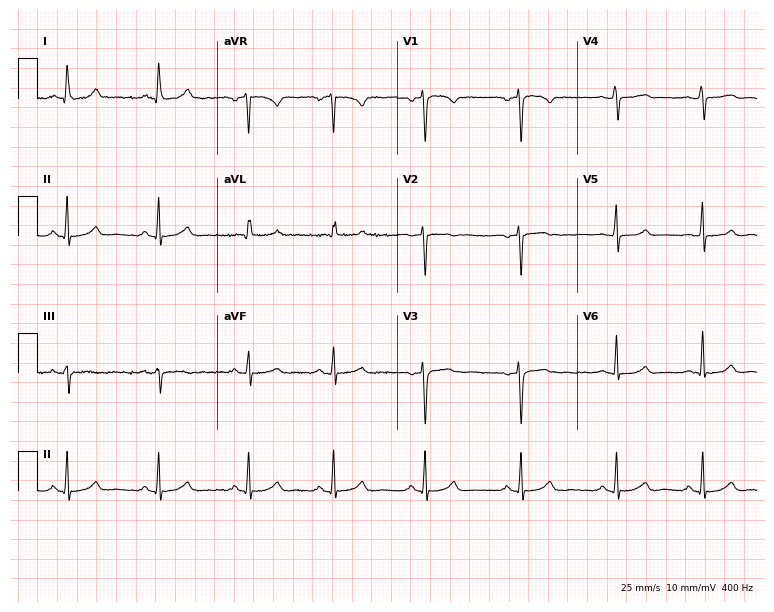
12-lead ECG from a woman, 43 years old (7.3-second recording at 400 Hz). Recorded interpretation: within normal limits.